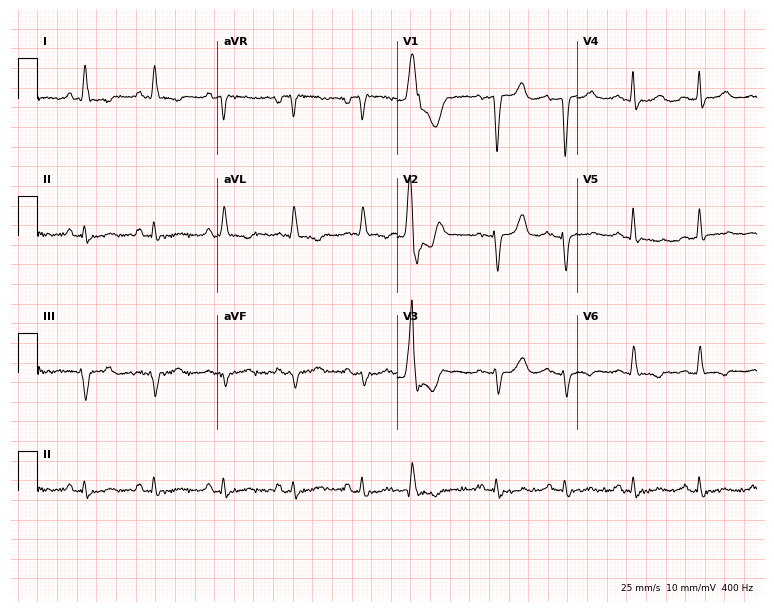
ECG (7.3-second recording at 400 Hz) — a male, 81 years old. Screened for six findings — first-degree AV block, right bundle branch block, left bundle branch block, sinus bradycardia, atrial fibrillation, sinus tachycardia — none is recorded. Other findings, if any, are not listed.